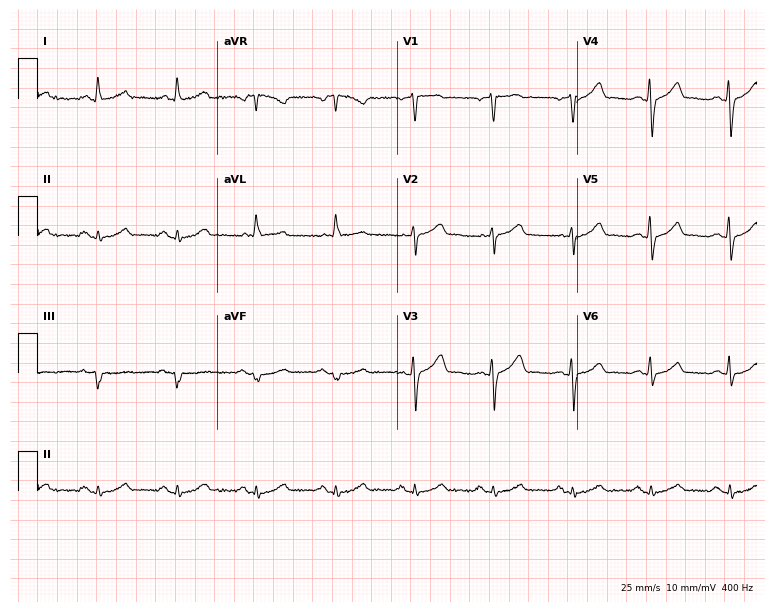
Electrocardiogram (7.3-second recording at 400 Hz), a man, 73 years old. Overall reading on record: normal ECG.